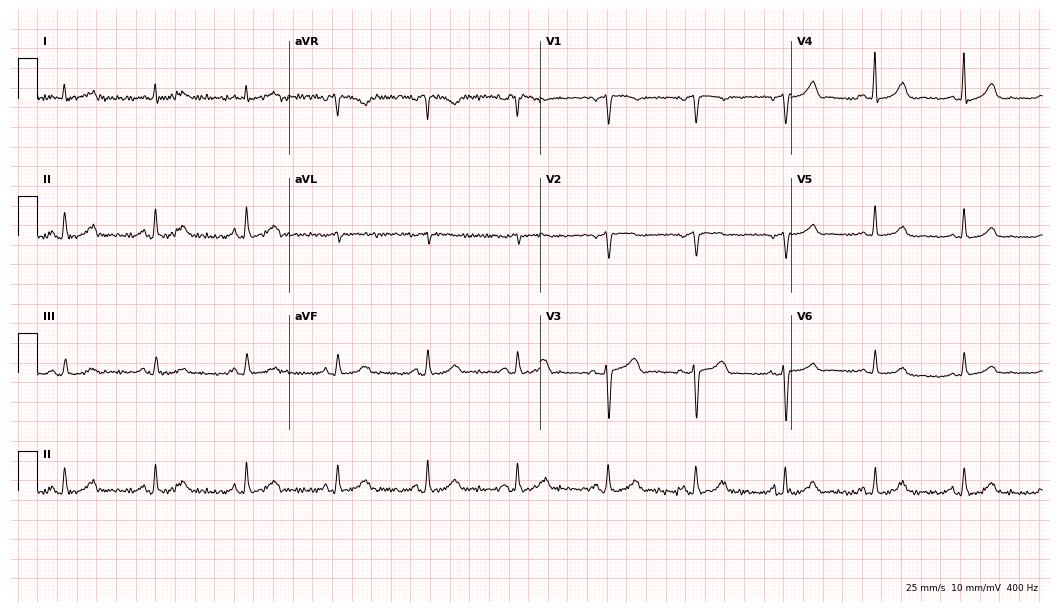
Standard 12-lead ECG recorded from a 77-year-old female patient. Read as a normal ECG.